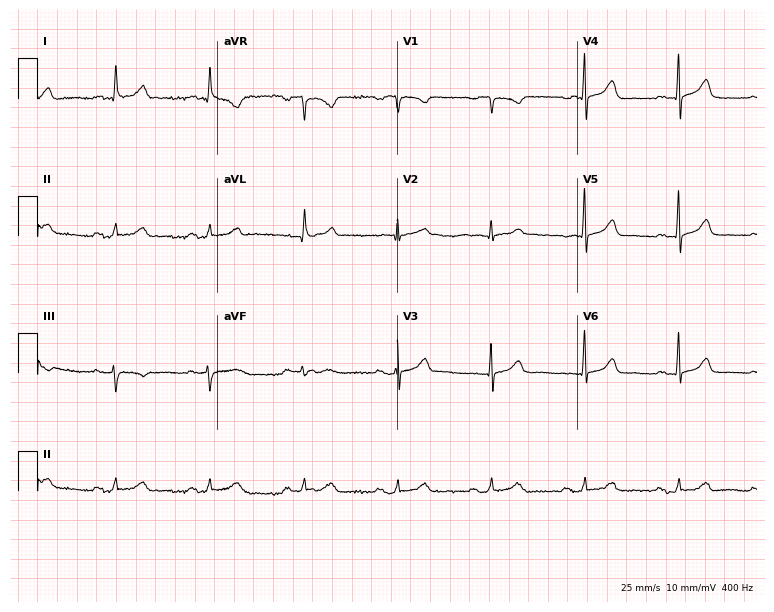
Electrocardiogram, a woman, 79 years old. Overall reading on record: normal ECG.